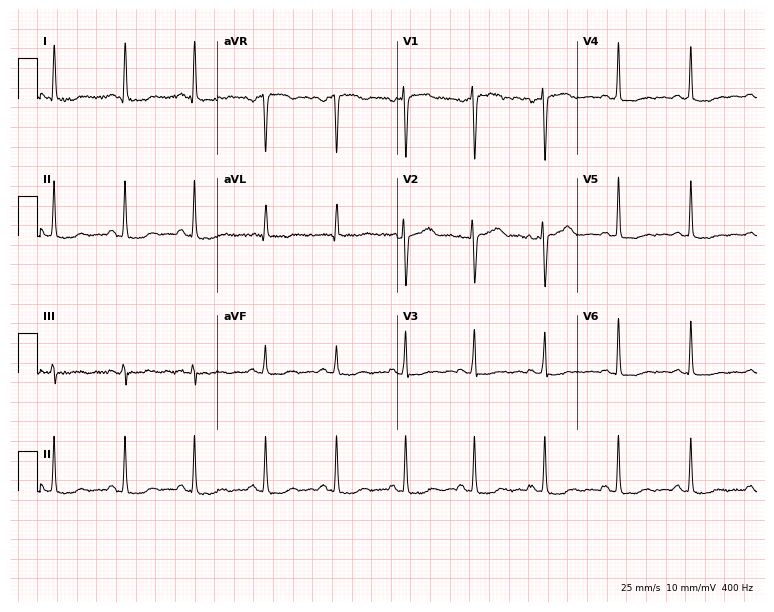
Electrocardiogram (7.3-second recording at 400 Hz), a 54-year-old female patient. Of the six screened findings (first-degree AV block, right bundle branch block (RBBB), left bundle branch block (LBBB), sinus bradycardia, atrial fibrillation (AF), sinus tachycardia), none is recorded. Only these six findings were labelled.